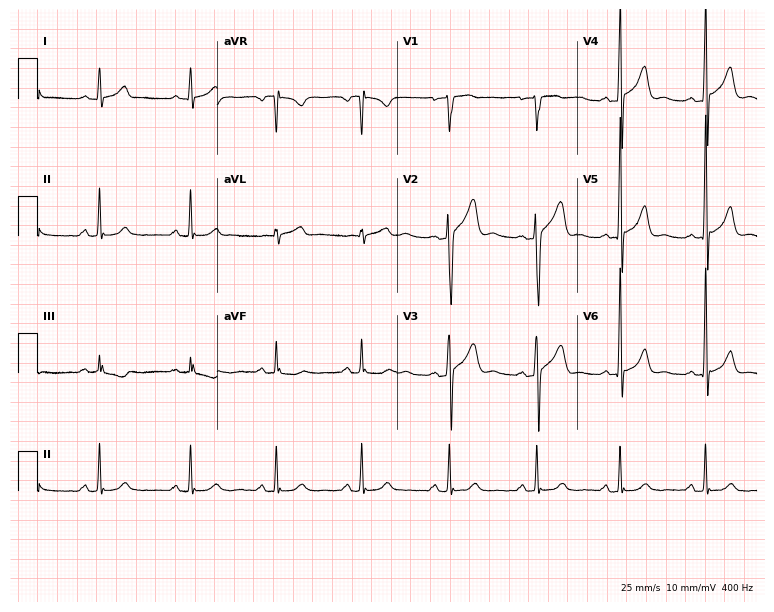
Resting 12-lead electrocardiogram (7.3-second recording at 400 Hz). Patient: a 43-year-old male. Read as a normal ECG.